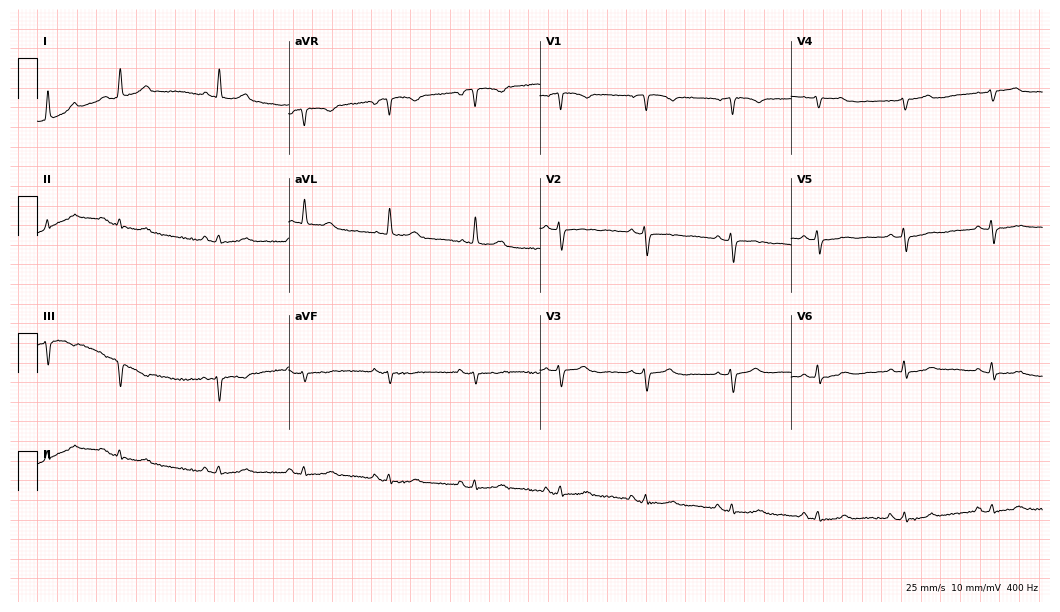
Electrocardiogram, a female, 78 years old. Of the six screened findings (first-degree AV block, right bundle branch block, left bundle branch block, sinus bradycardia, atrial fibrillation, sinus tachycardia), none is recorded. Only these six findings were labelled.